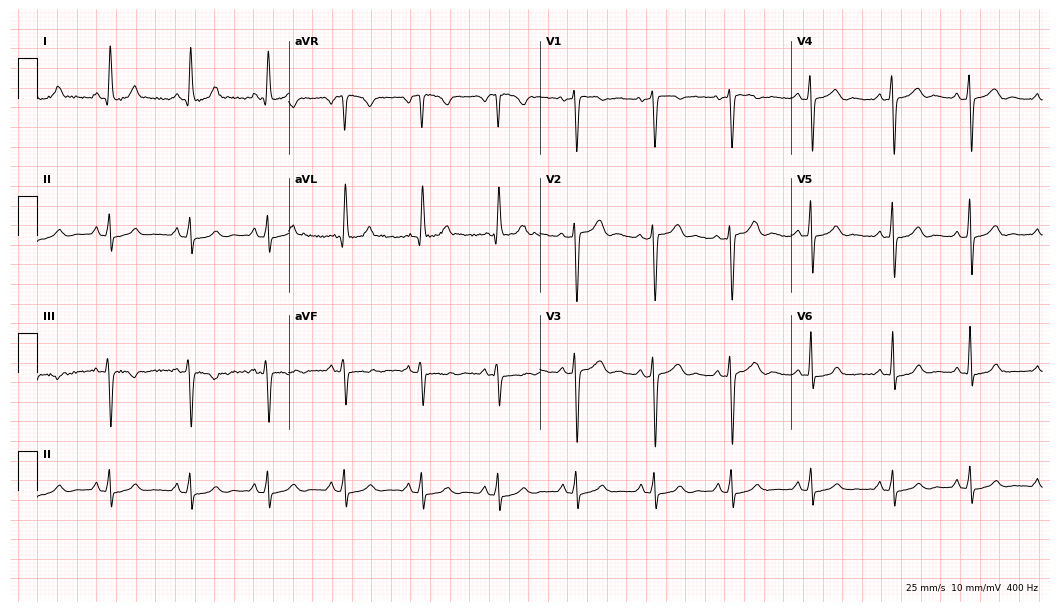
Resting 12-lead electrocardiogram (10.2-second recording at 400 Hz). Patient: a 39-year-old woman. Read as a normal ECG.